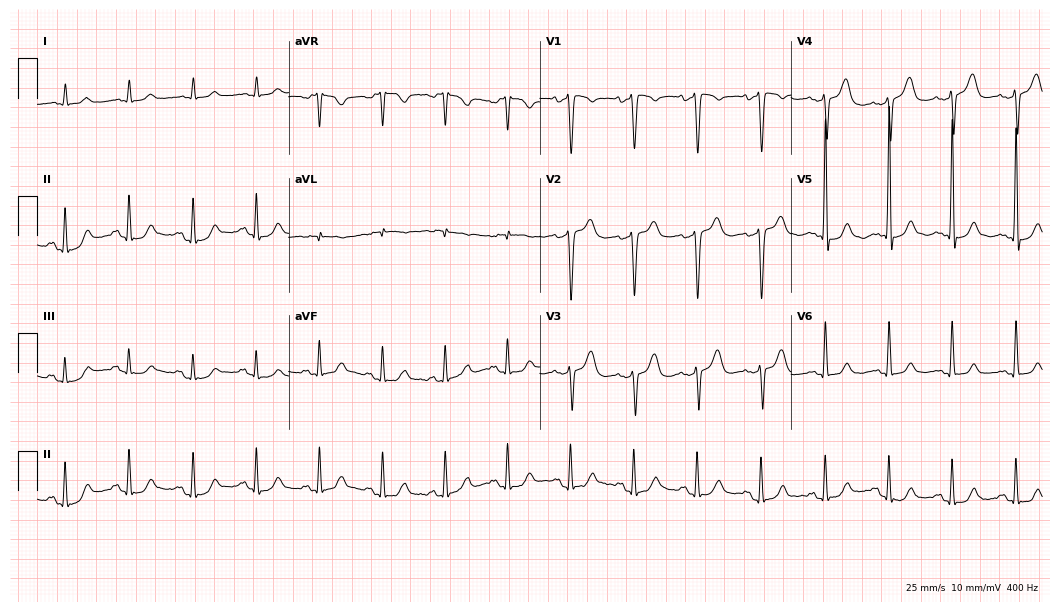
Resting 12-lead electrocardiogram. Patient: a 71-year-old male. Read as a normal ECG.